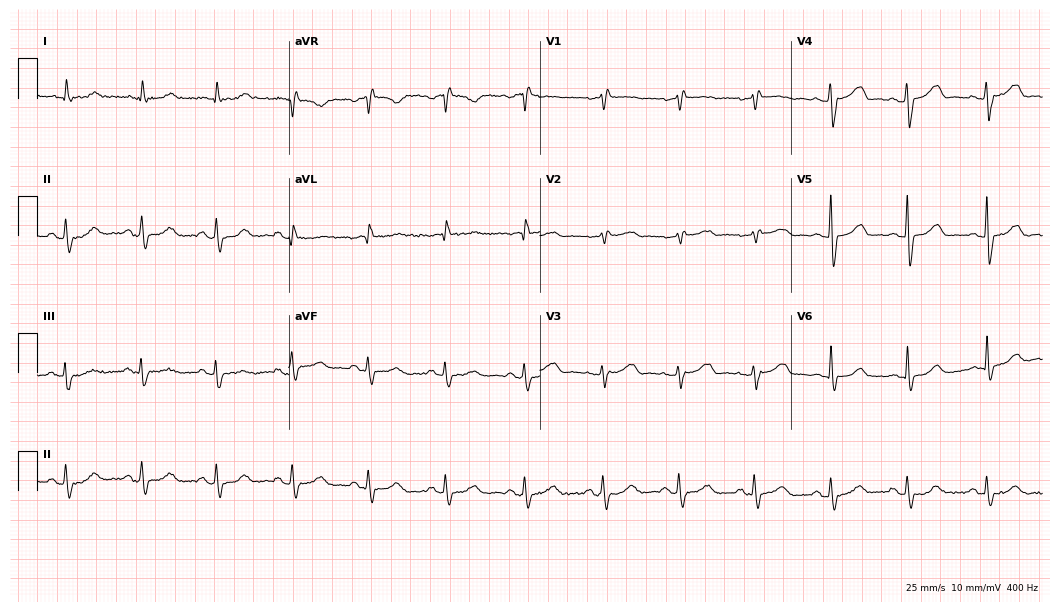
ECG — a female patient, 72 years old. Screened for six findings — first-degree AV block, right bundle branch block, left bundle branch block, sinus bradycardia, atrial fibrillation, sinus tachycardia — none is recorded. Only these six findings were labelled.